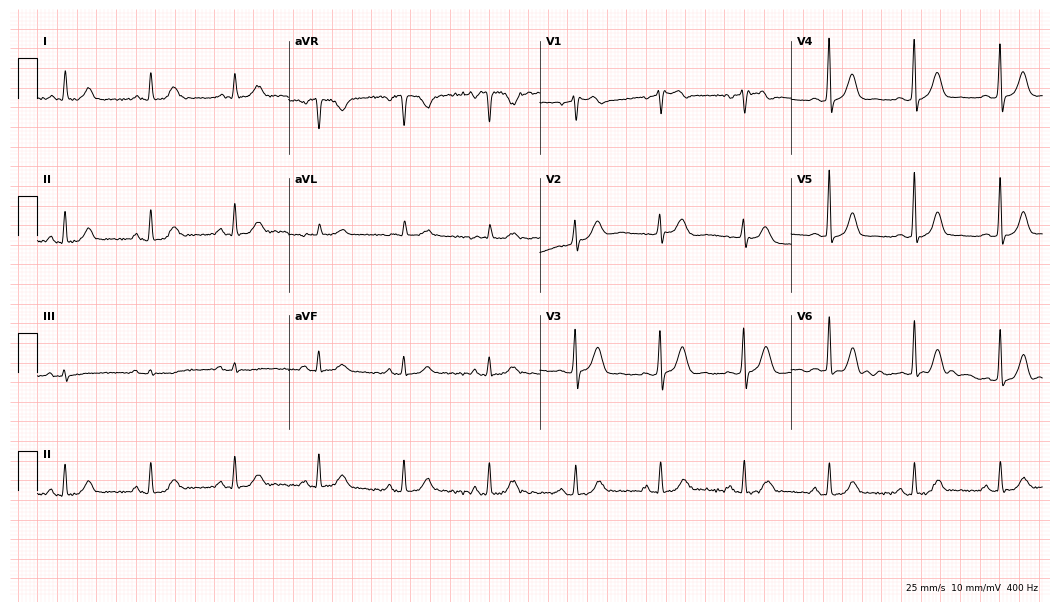
ECG (10.2-second recording at 400 Hz) — a female, 69 years old. Labelled as a normal ECG.